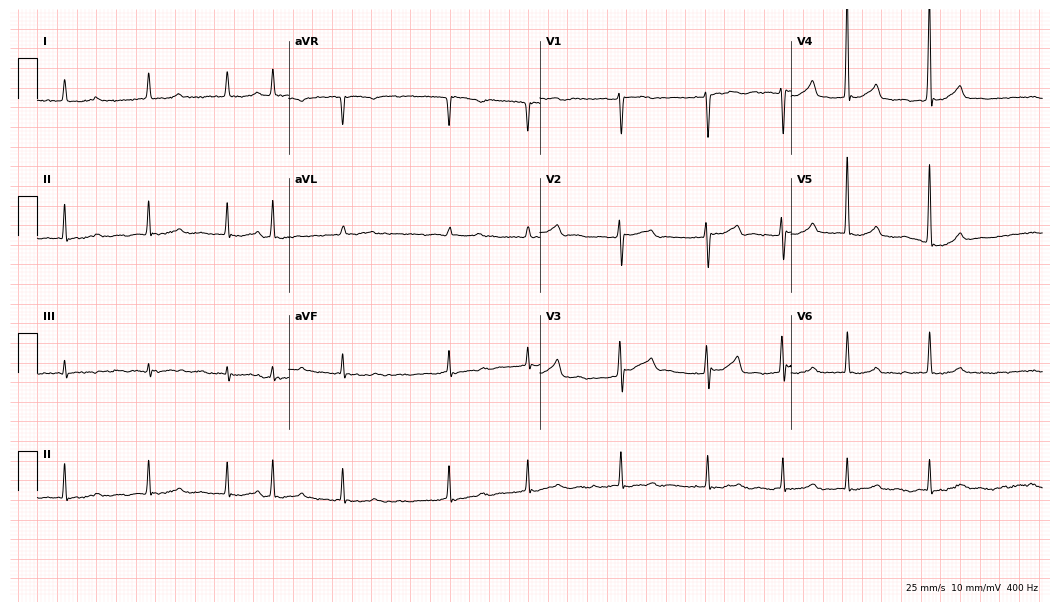
ECG — a 64-year-old female. Findings include atrial fibrillation.